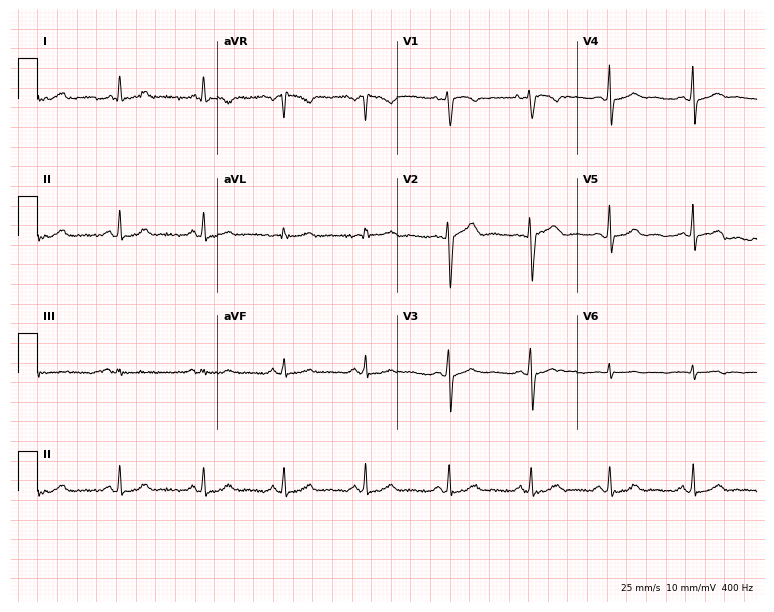
ECG (7.3-second recording at 400 Hz) — a 29-year-old woman. Labelled as a normal ECG.